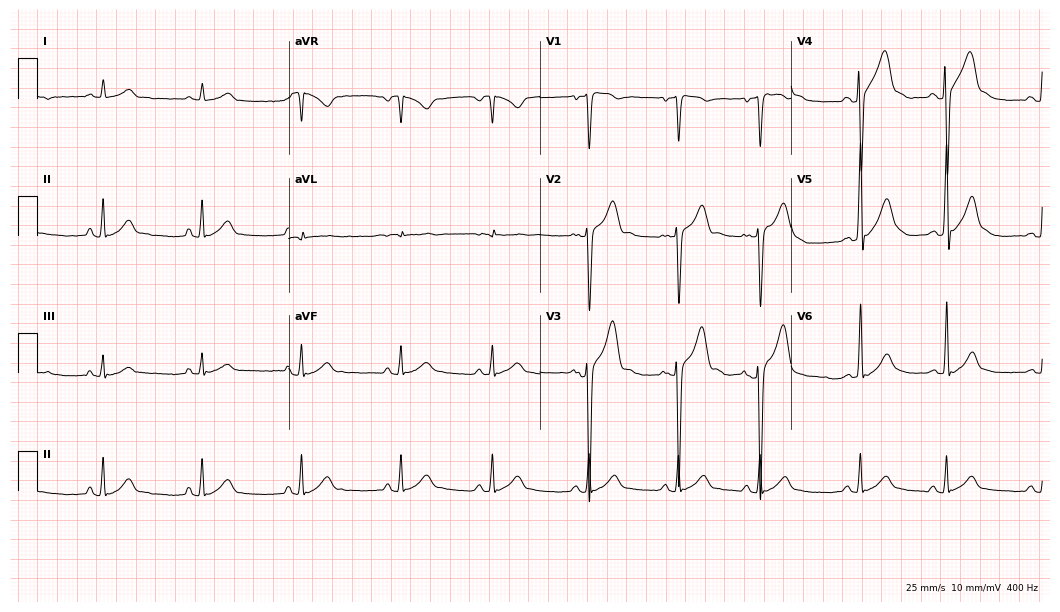
Resting 12-lead electrocardiogram (10.2-second recording at 400 Hz). Patient: a male, 17 years old. Read as a normal ECG.